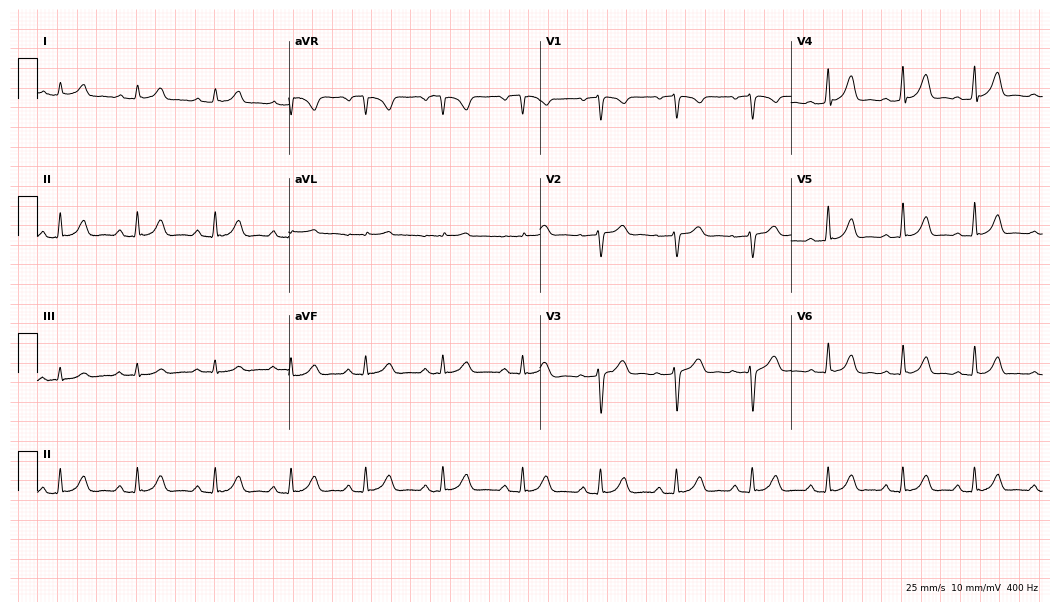
Standard 12-lead ECG recorded from a woman, 35 years old. None of these six findings is recorded: first-degree AV block, right bundle branch block, left bundle branch block, sinus bradycardia, atrial fibrillation, sinus tachycardia. Findings outside these six are not listed.